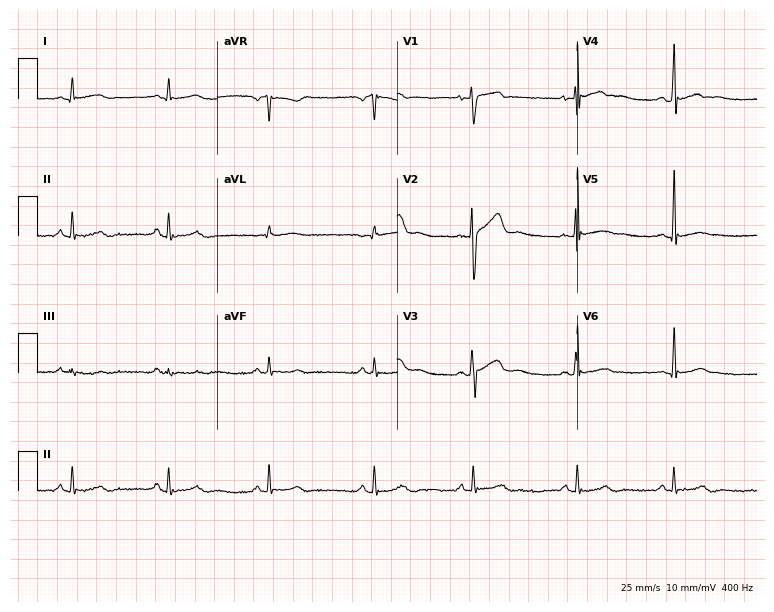
12-lead ECG from a 22-year-old male patient. Labelled as a normal ECG.